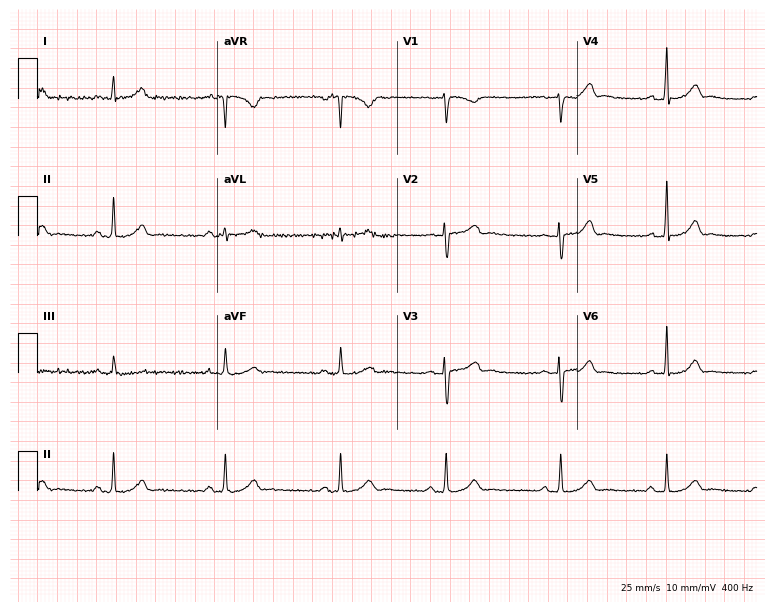
12-lead ECG from a female patient, 33 years old. Screened for six findings — first-degree AV block, right bundle branch block, left bundle branch block, sinus bradycardia, atrial fibrillation, sinus tachycardia — none is recorded. Findings outside these six are not listed.